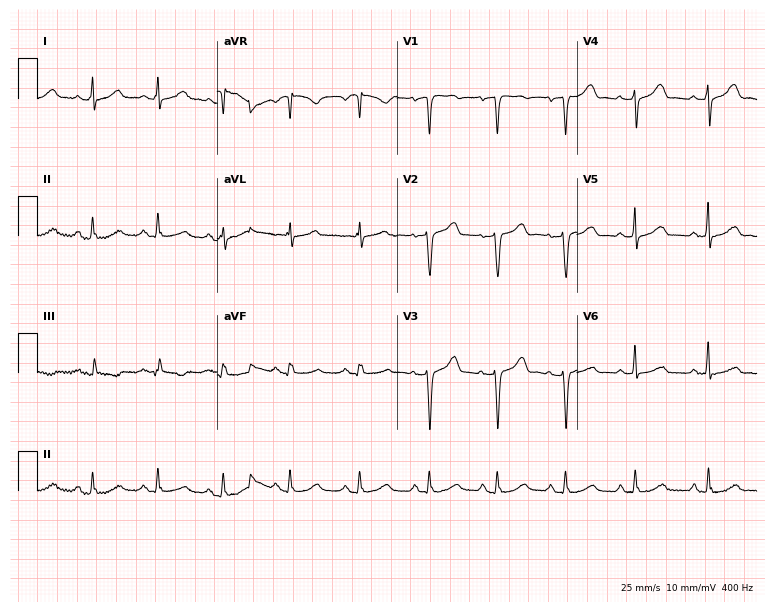
12-lead ECG from a female, 65 years old. Screened for six findings — first-degree AV block, right bundle branch block (RBBB), left bundle branch block (LBBB), sinus bradycardia, atrial fibrillation (AF), sinus tachycardia — none is recorded. Findings outside these six are not listed.